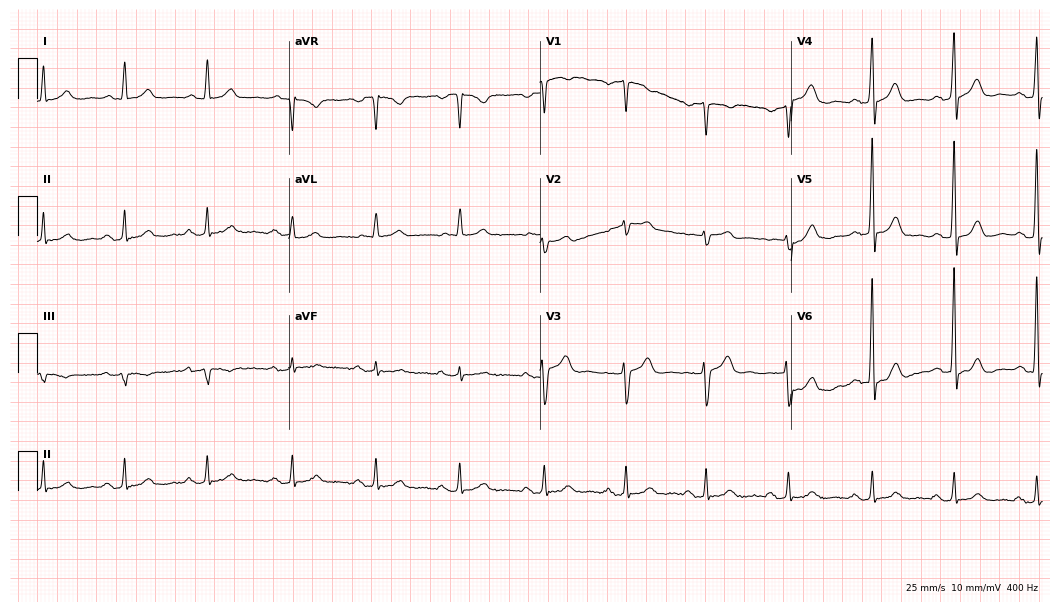
12-lead ECG (10.2-second recording at 400 Hz) from a 77-year-old male. Labelled as a normal ECG.